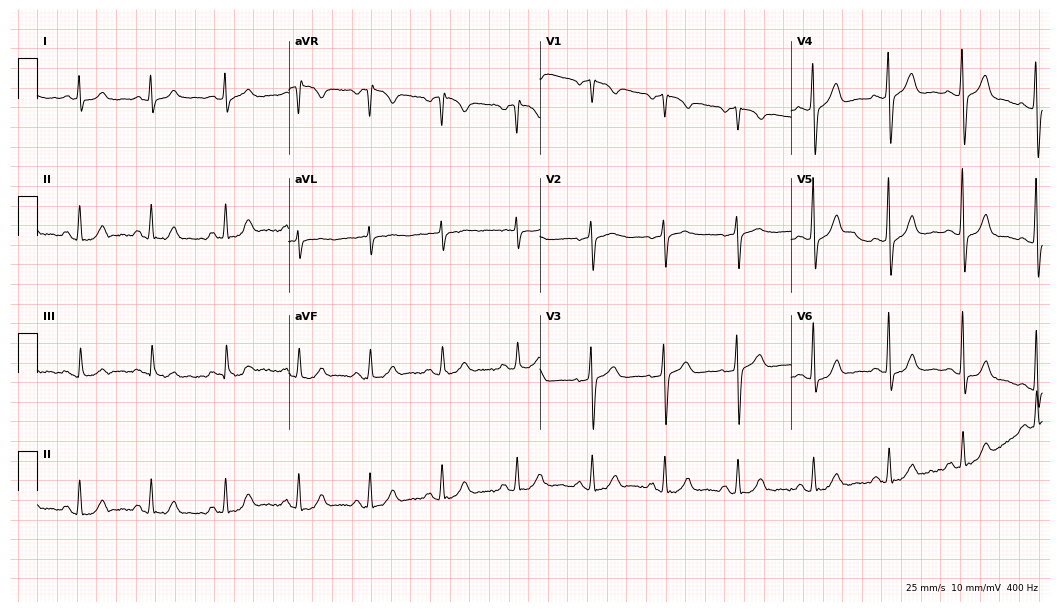
12-lead ECG from a 63-year-old male. Labelled as a normal ECG.